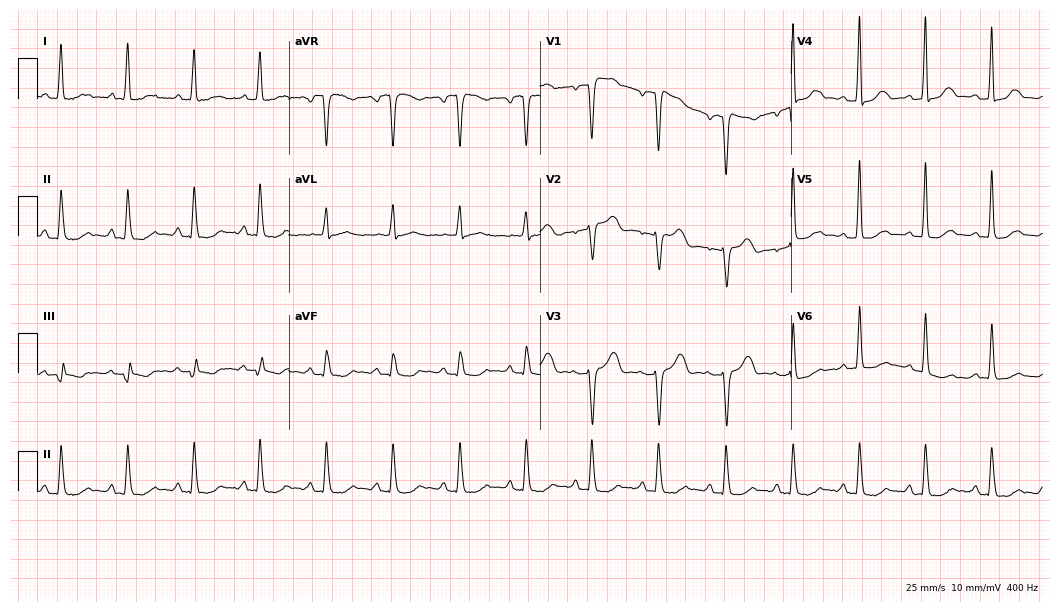
12-lead ECG from a female, 68 years old. Screened for six findings — first-degree AV block, right bundle branch block (RBBB), left bundle branch block (LBBB), sinus bradycardia, atrial fibrillation (AF), sinus tachycardia — none is recorded.